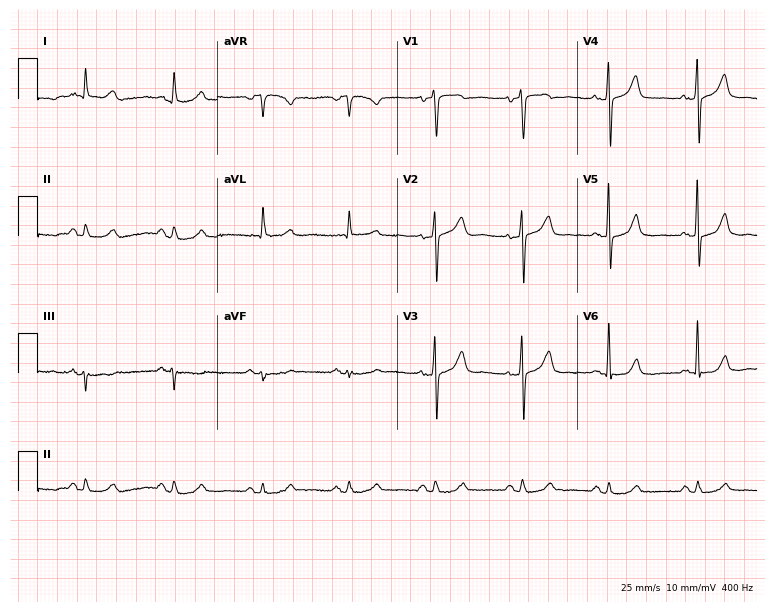
ECG — an 83-year-old man. Screened for six findings — first-degree AV block, right bundle branch block (RBBB), left bundle branch block (LBBB), sinus bradycardia, atrial fibrillation (AF), sinus tachycardia — none is recorded. Other findings, if any, are not listed.